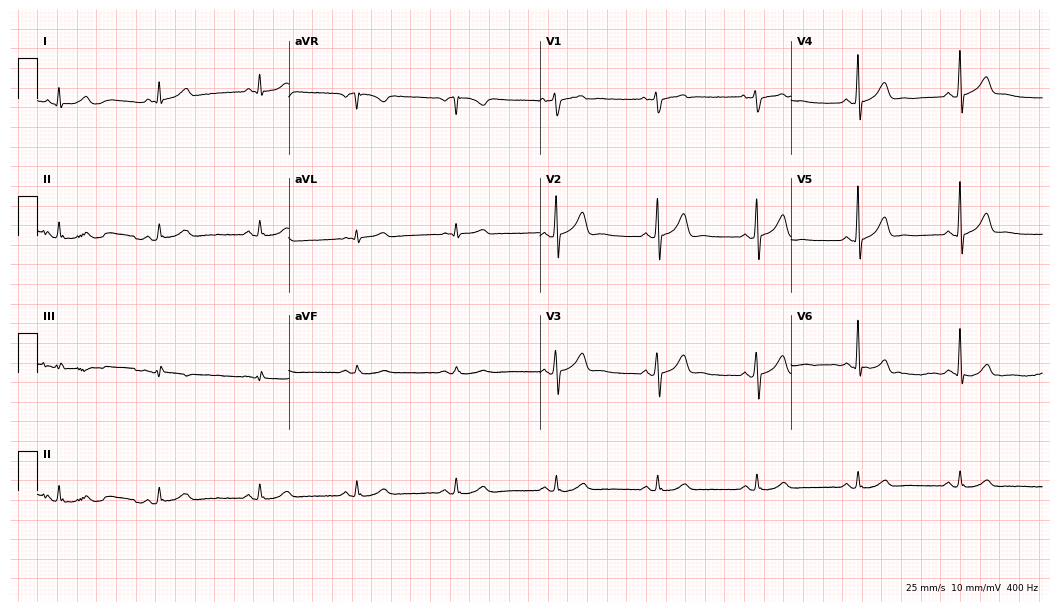
Resting 12-lead electrocardiogram (10.2-second recording at 400 Hz). Patient: a 45-year-old male. None of these six findings is recorded: first-degree AV block, right bundle branch block, left bundle branch block, sinus bradycardia, atrial fibrillation, sinus tachycardia.